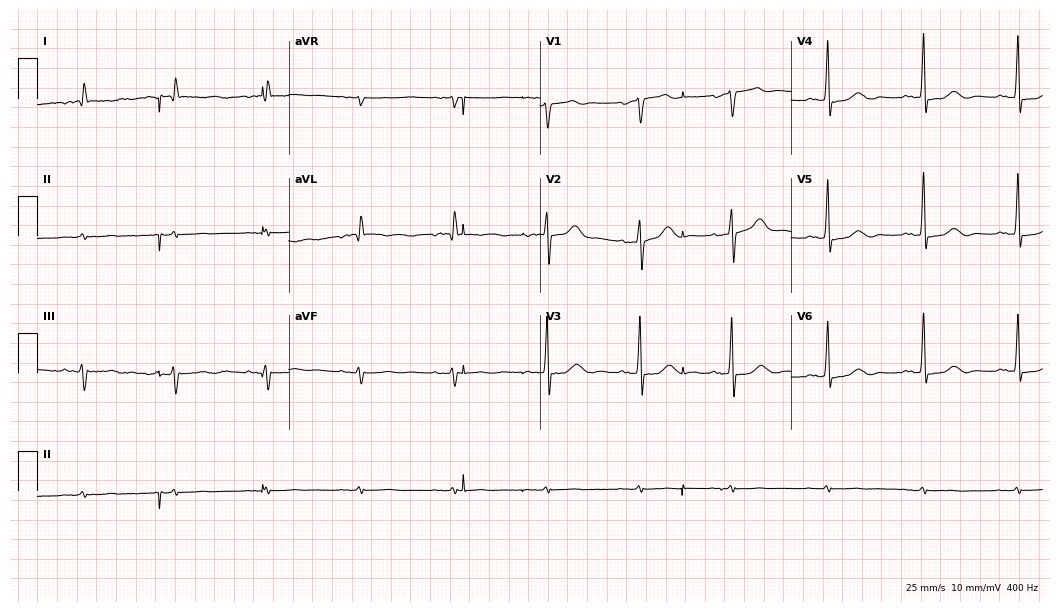
Electrocardiogram, an 81-year-old man. Of the six screened findings (first-degree AV block, right bundle branch block (RBBB), left bundle branch block (LBBB), sinus bradycardia, atrial fibrillation (AF), sinus tachycardia), none is recorded. Findings outside these six are not listed.